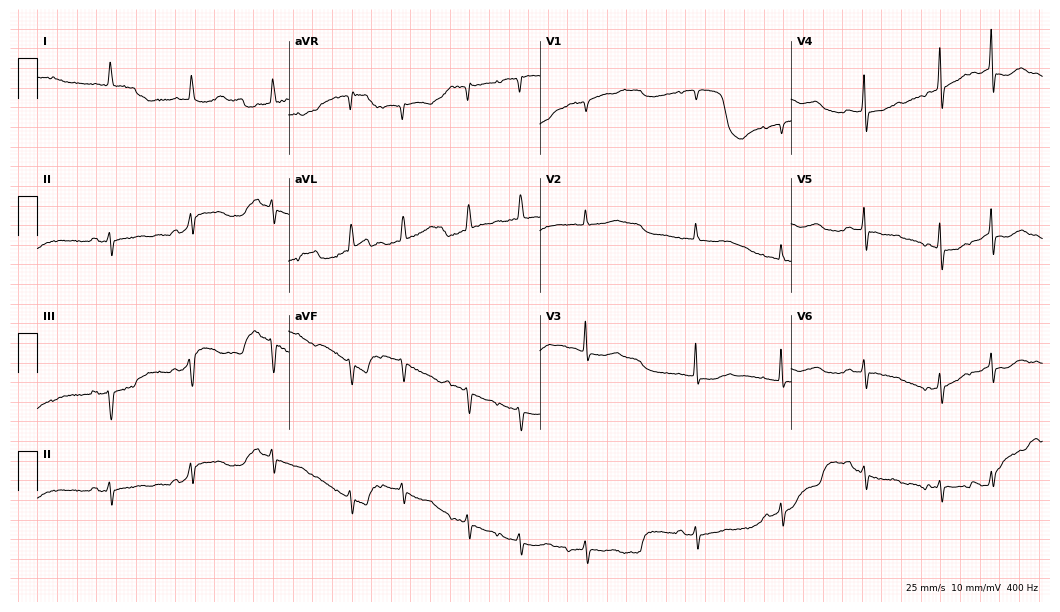
Resting 12-lead electrocardiogram (10.2-second recording at 400 Hz). Patient: an 82-year-old female. None of these six findings is recorded: first-degree AV block, right bundle branch block (RBBB), left bundle branch block (LBBB), sinus bradycardia, atrial fibrillation (AF), sinus tachycardia.